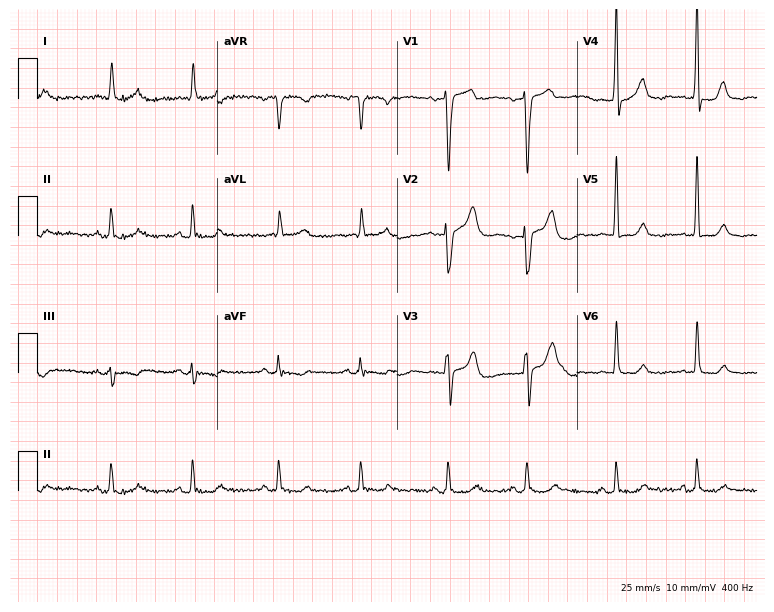
12-lead ECG from a man, 73 years old. Screened for six findings — first-degree AV block, right bundle branch block (RBBB), left bundle branch block (LBBB), sinus bradycardia, atrial fibrillation (AF), sinus tachycardia — none is recorded.